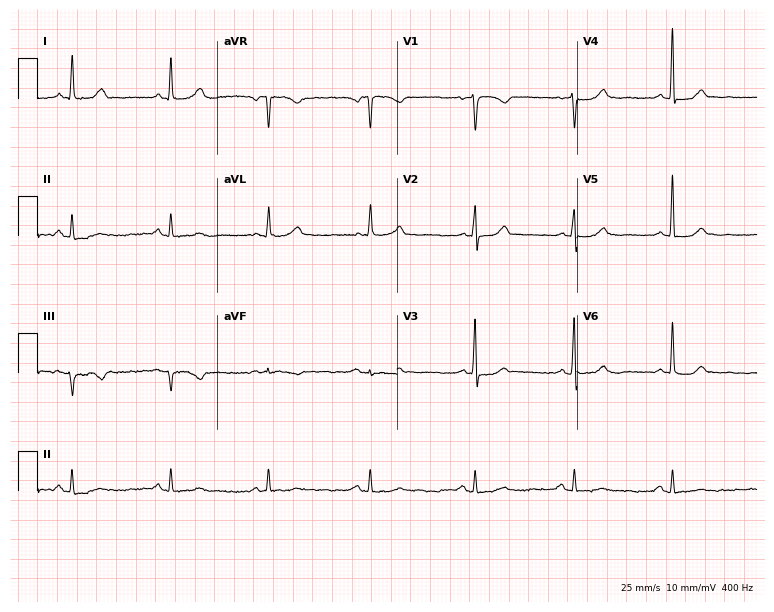
Electrocardiogram (7.3-second recording at 400 Hz), a female patient, 73 years old. Of the six screened findings (first-degree AV block, right bundle branch block, left bundle branch block, sinus bradycardia, atrial fibrillation, sinus tachycardia), none is recorded. Findings outside these six are not listed.